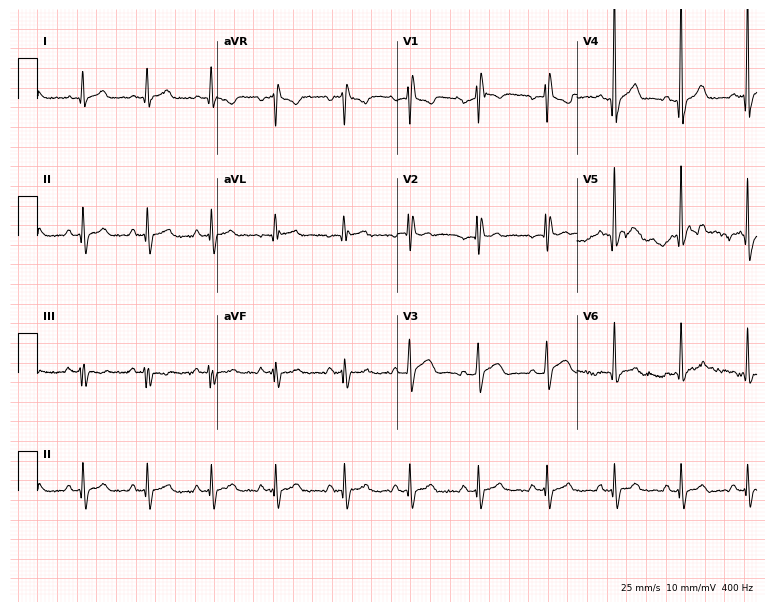
Standard 12-lead ECG recorded from a 22-year-old male (7.3-second recording at 400 Hz). None of these six findings is recorded: first-degree AV block, right bundle branch block, left bundle branch block, sinus bradycardia, atrial fibrillation, sinus tachycardia. Findings outside these six are not listed.